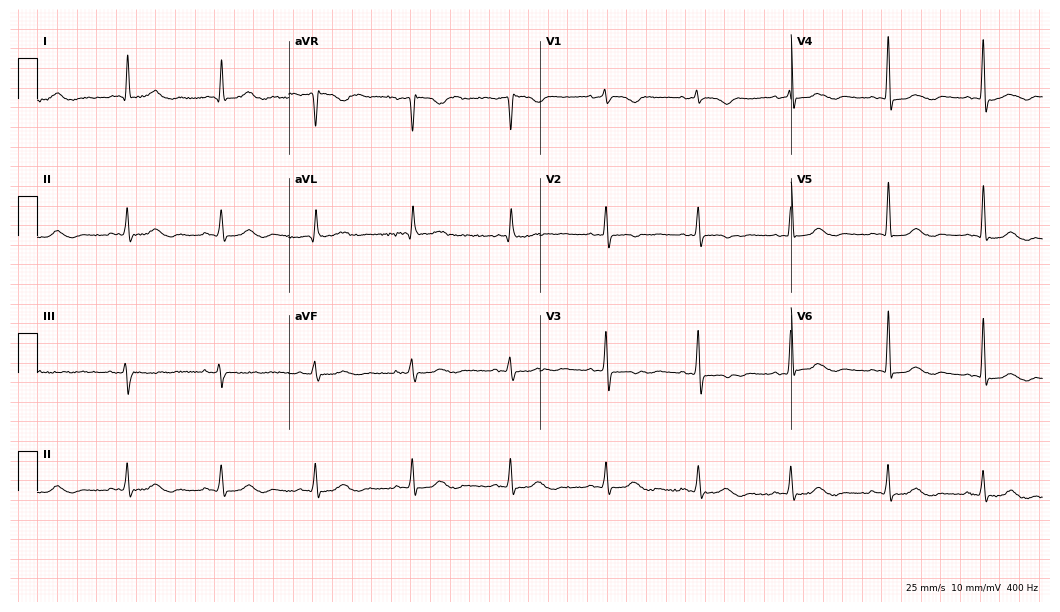
12-lead ECG from a female patient, 76 years old. Screened for six findings — first-degree AV block, right bundle branch block, left bundle branch block, sinus bradycardia, atrial fibrillation, sinus tachycardia — none is recorded. Only these six findings were labelled.